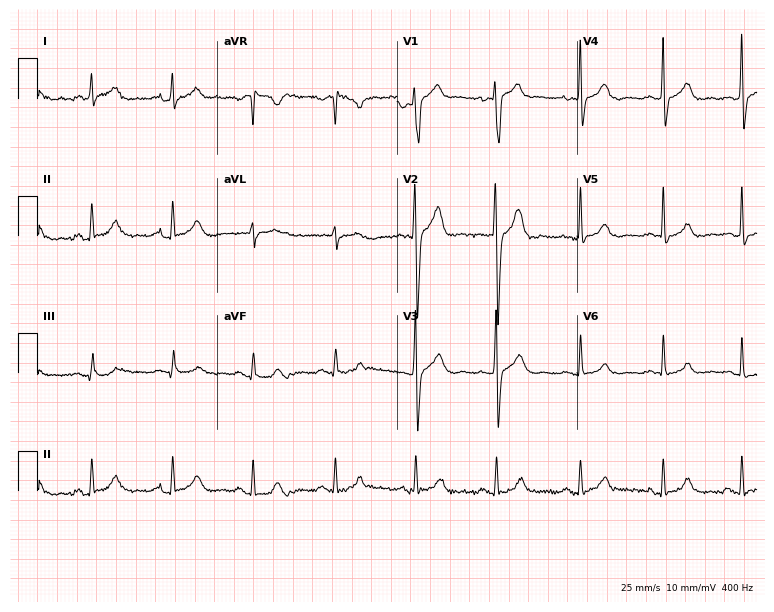
Electrocardiogram (7.3-second recording at 400 Hz), a male, 36 years old. Of the six screened findings (first-degree AV block, right bundle branch block, left bundle branch block, sinus bradycardia, atrial fibrillation, sinus tachycardia), none is recorded.